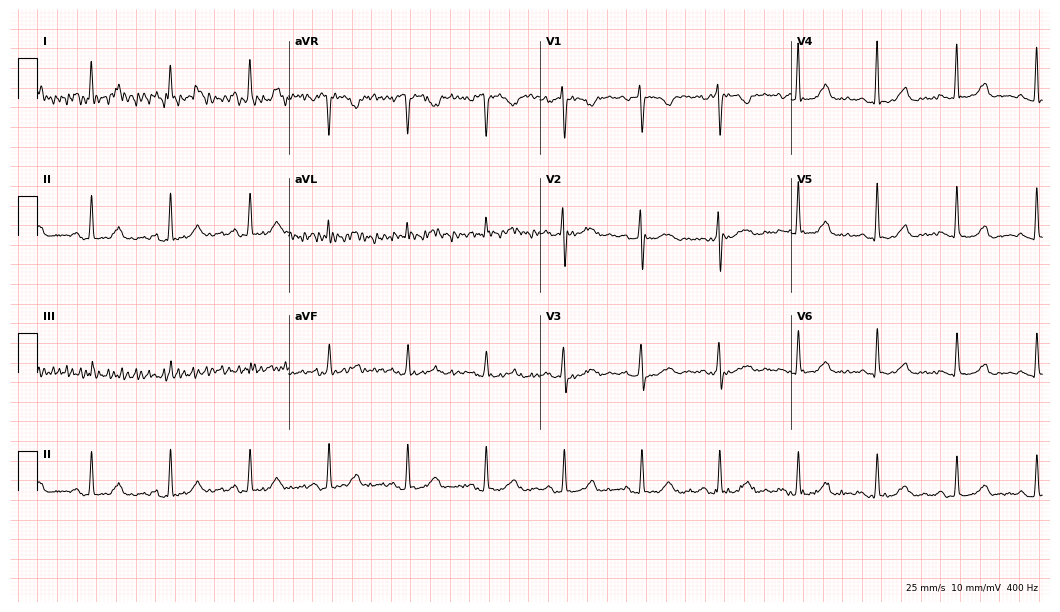
Resting 12-lead electrocardiogram (10.2-second recording at 400 Hz). Patient: a 43-year-old woman. None of these six findings is recorded: first-degree AV block, right bundle branch block (RBBB), left bundle branch block (LBBB), sinus bradycardia, atrial fibrillation (AF), sinus tachycardia.